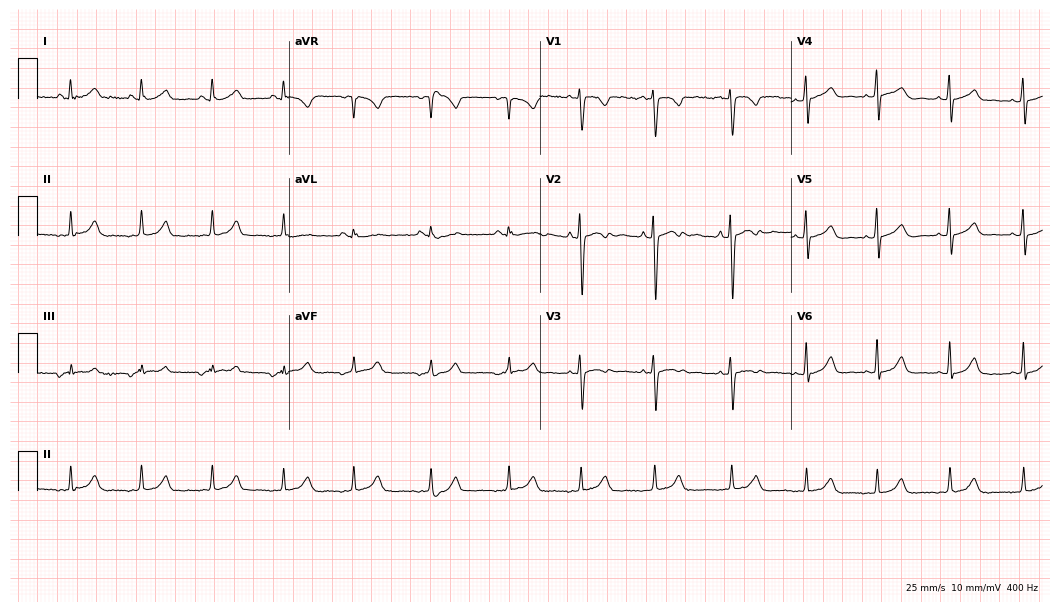
Resting 12-lead electrocardiogram. Patient: a woman, 17 years old. None of these six findings is recorded: first-degree AV block, right bundle branch block, left bundle branch block, sinus bradycardia, atrial fibrillation, sinus tachycardia. Findings outside these six are not listed.